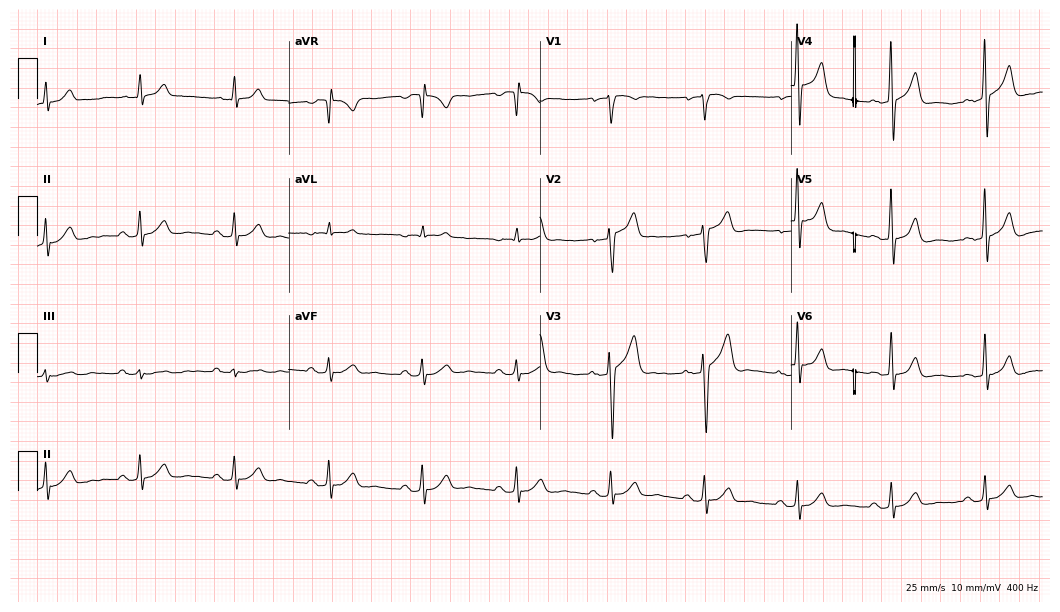
Standard 12-lead ECG recorded from a man, 59 years old (10.2-second recording at 400 Hz). Read as a normal ECG.